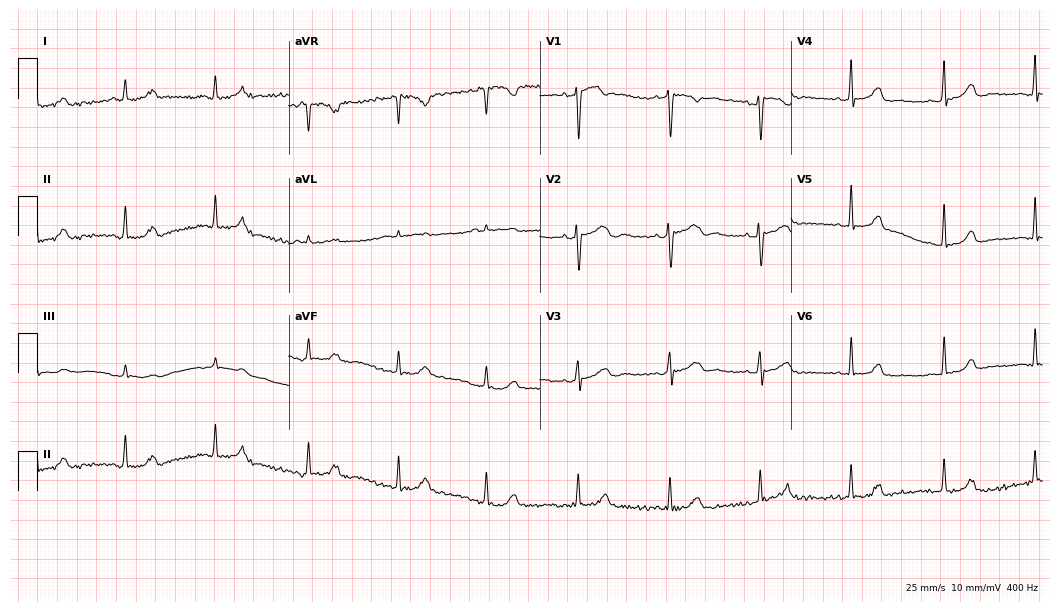
Standard 12-lead ECG recorded from a 28-year-old female. Read as a normal ECG.